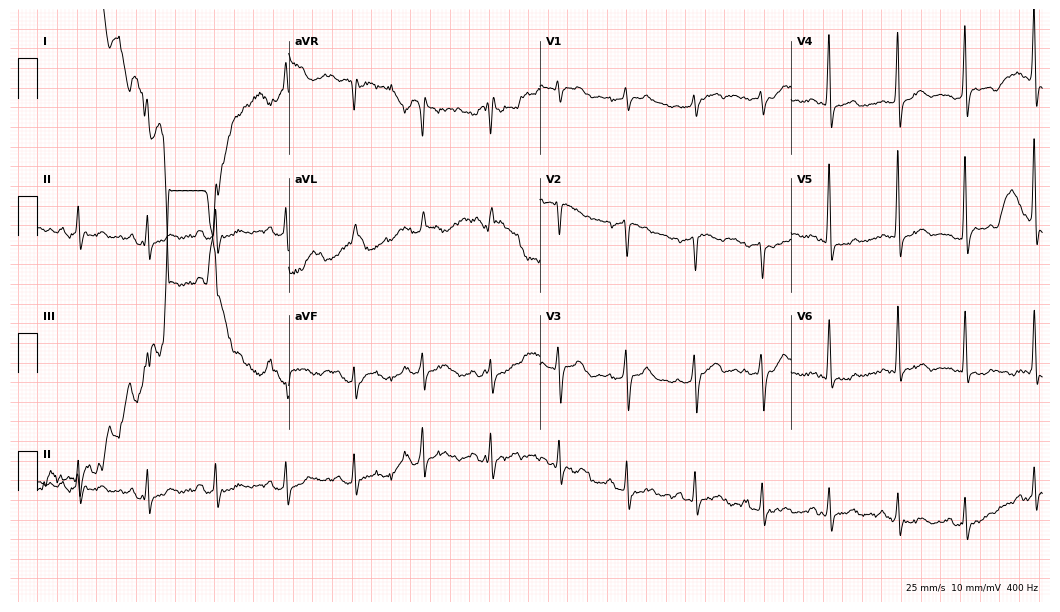
Electrocardiogram, a man, 78 years old. Of the six screened findings (first-degree AV block, right bundle branch block, left bundle branch block, sinus bradycardia, atrial fibrillation, sinus tachycardia), none is recorded.